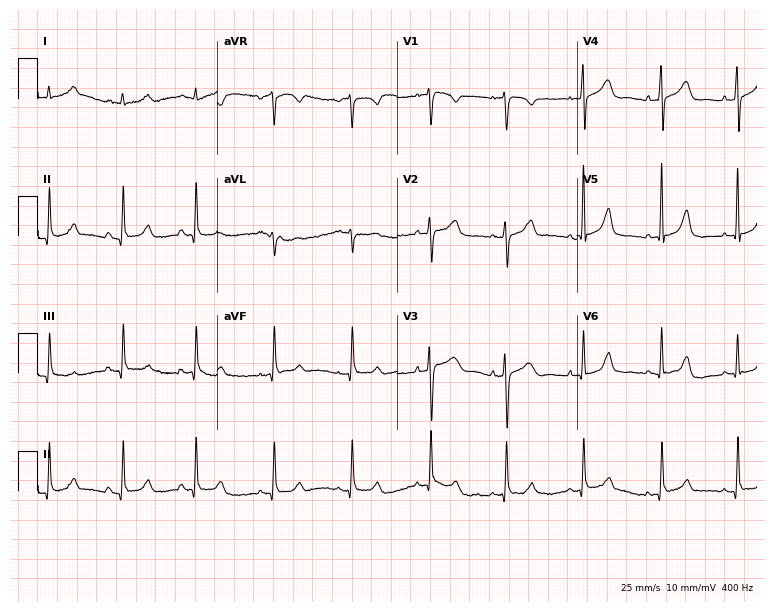
Standard 12-lead ECG recorded from a 41-year-old female patient. None of these six findings is recorded: first-degree AV block, right bundle branch block, left bundle branch block, sinus bradycardia, atrial fibrillation, sinus tachycardia. Findings outside these six are not listed.